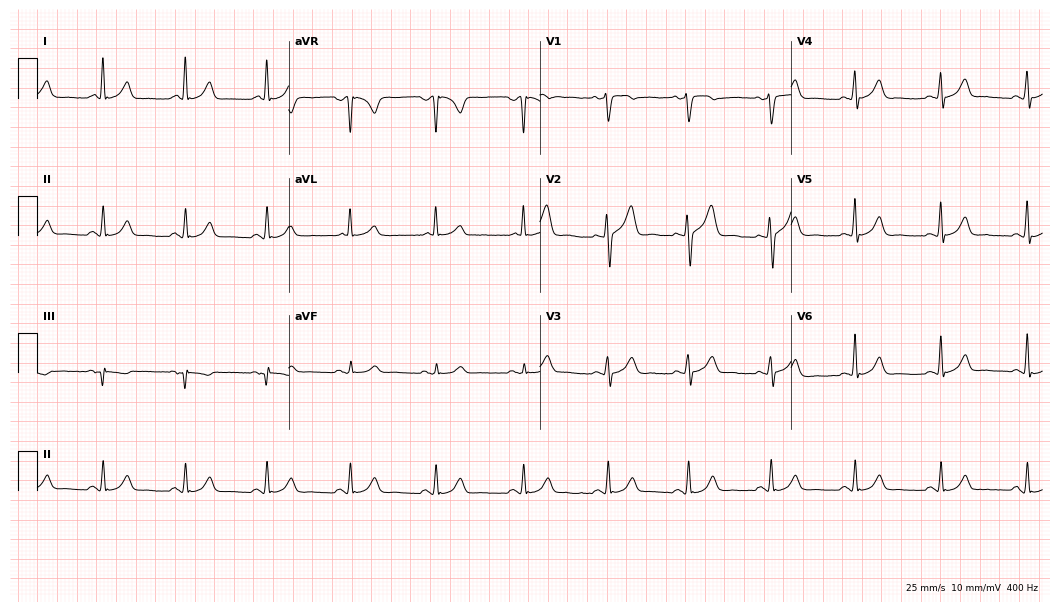
12-lead ECG from a 45-year-old male. Labelled as a normal ECG.